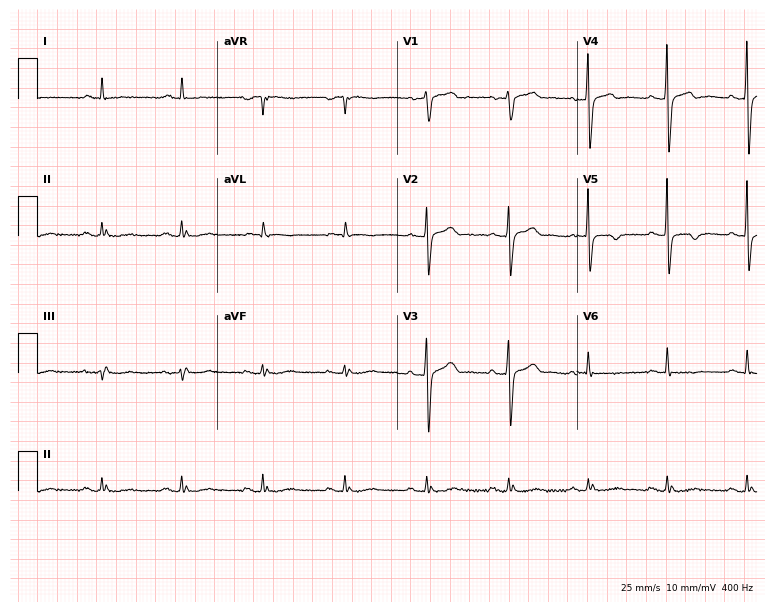
12-lead ECG from a 68-year-old male patient (7.3-second recording at 400 Hz). No first-degree AV block, right bundle branch block, left bundle branch block, sinus bradycardia, atrial fibrillation or sinus tachycardia recorded for this tracing. Findings outside these six are not listed.